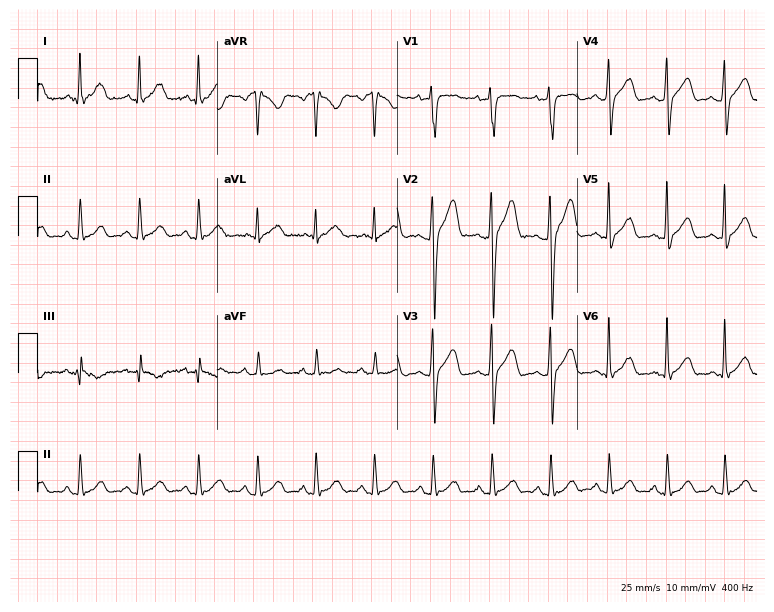
Electrocardiogram, a male patient, 30 years old. Of the six screened findings (first-degree AV block, right bundle branch block, left bundle branch block, sinus bradycardia, atrial fibrillation, sinus tachycardia), none is recorded. Other findings, if any, are not listed.